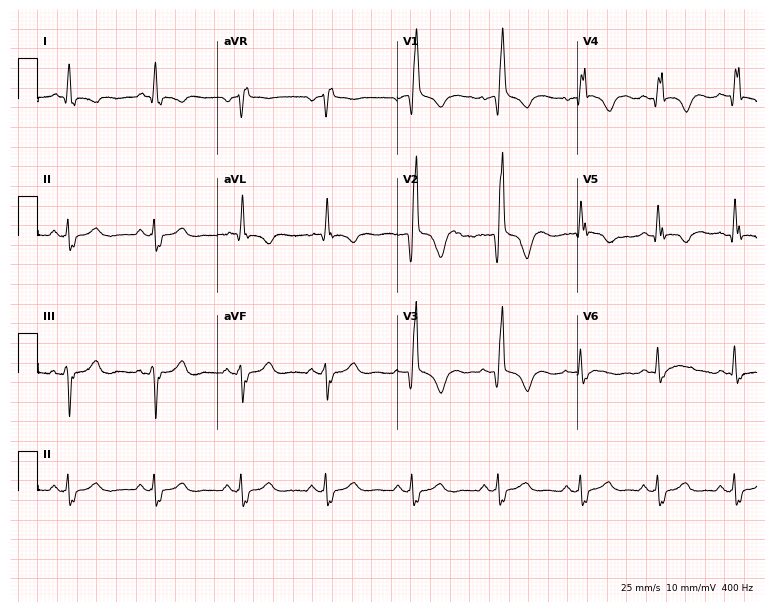
12-lead ECG (7.3-second recording at 400 Hz) from a woman, 85 years old. Findings include right bundle branch block.